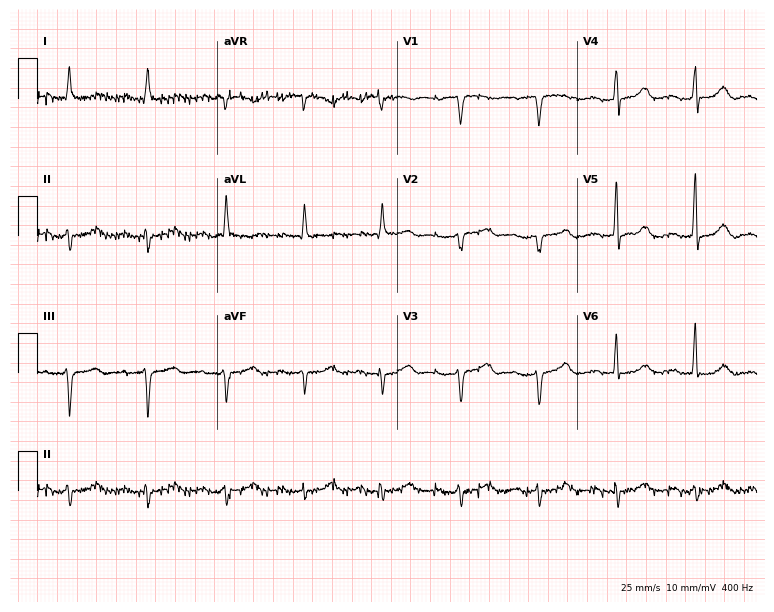
Electrocardiogram, a 76-year-old man. Of the six screened findings (first-degree AV block, right bundle branch block, left bundle branch block, sinus bradycardia, atrial fibrillation, sinus tachycardia), none is recorded. Only these six findings were labelled.